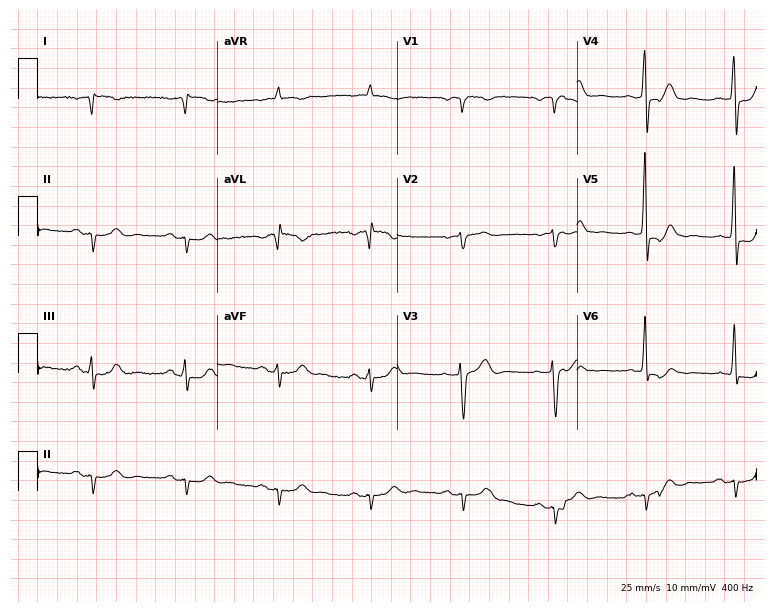
Electrocardiogram (7.3-second recording at 400 Hz), a 71-year-old male patient. Of the six screened findings (first-degree AV block, right bundle branch block (RBBB), left bundle branch block (LBBB), sinus bradycardia, atrial fibrillation (AF), sinus tachycardia), none is recorded.